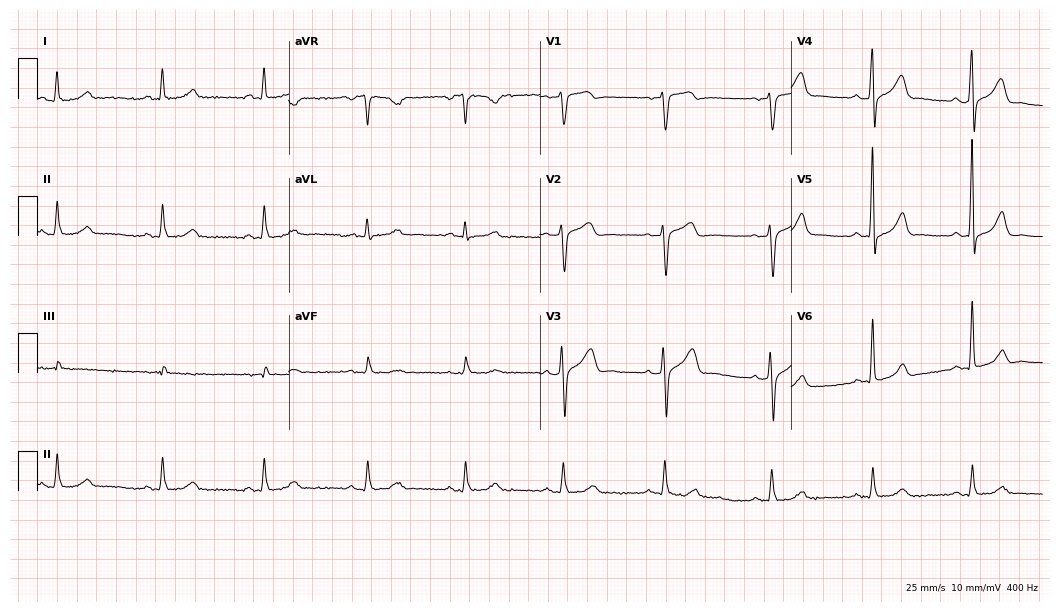
Electrocardiogram (10.2-second recording at 400 Hz), a 57-year-old man. Overall reading on record: normal ECG.